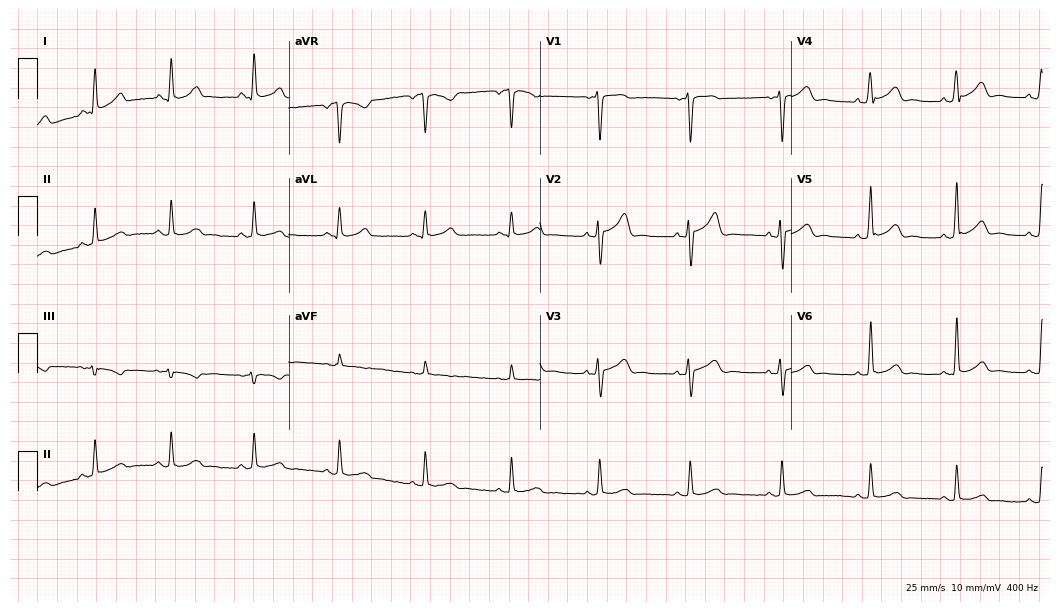
12-lead ECG from a 25-year-old male. Labelled as a normal ECG.